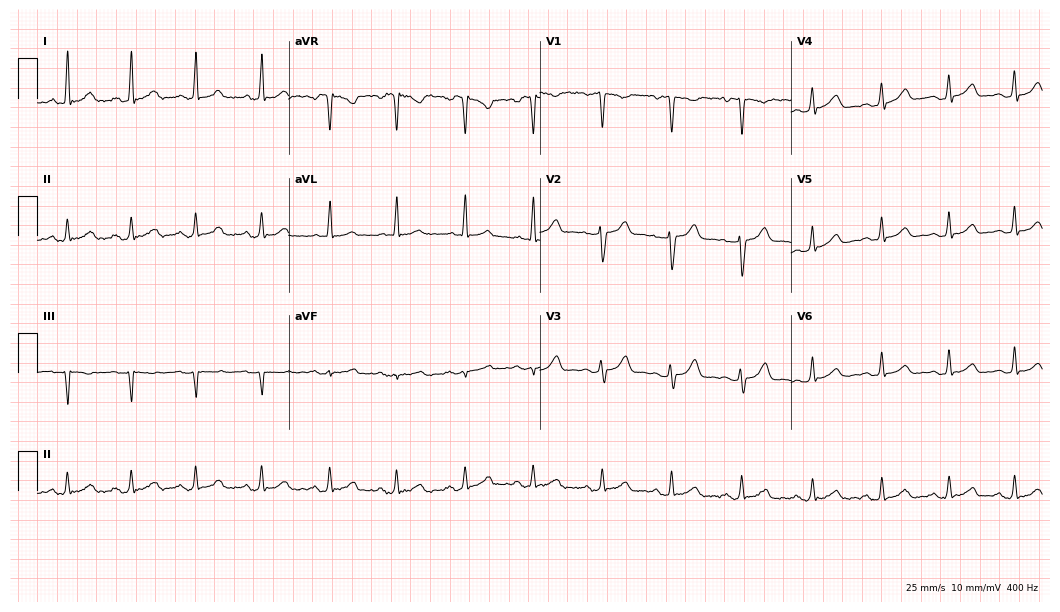
ECG — a 39-year-old female. Labelled as a normal ECG.